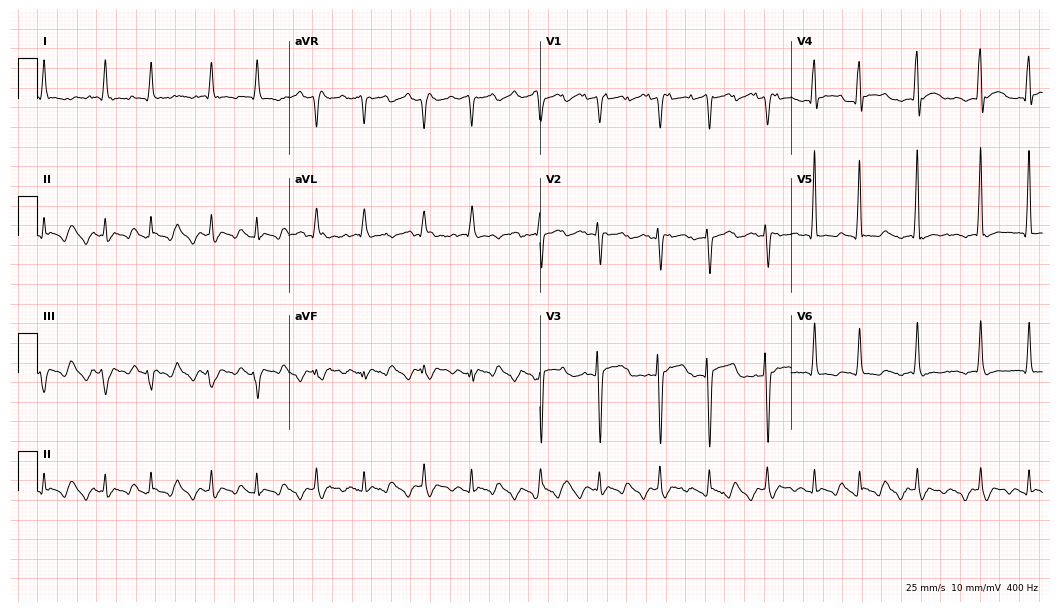
12-lead ECG from a 44-year-old male. Findings include atrial fibrillation.